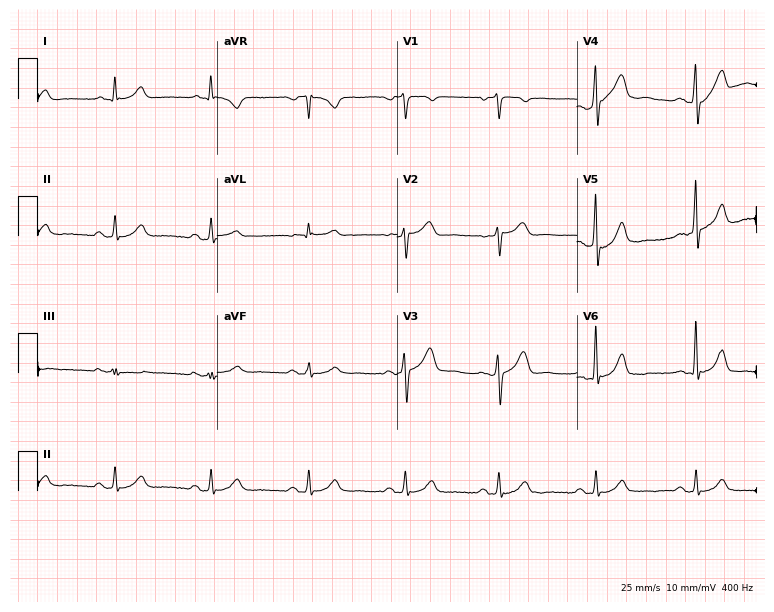
Resting 12-lead electrocardiogram. Patient: a 49-year-old male. None of these six findings is recorded: first-degree AV block, right bundle branch block, left bundle branch block, sinus bradycardia, atrial fibrillation, sinus tachycardia. Findings outside these six are not listed.